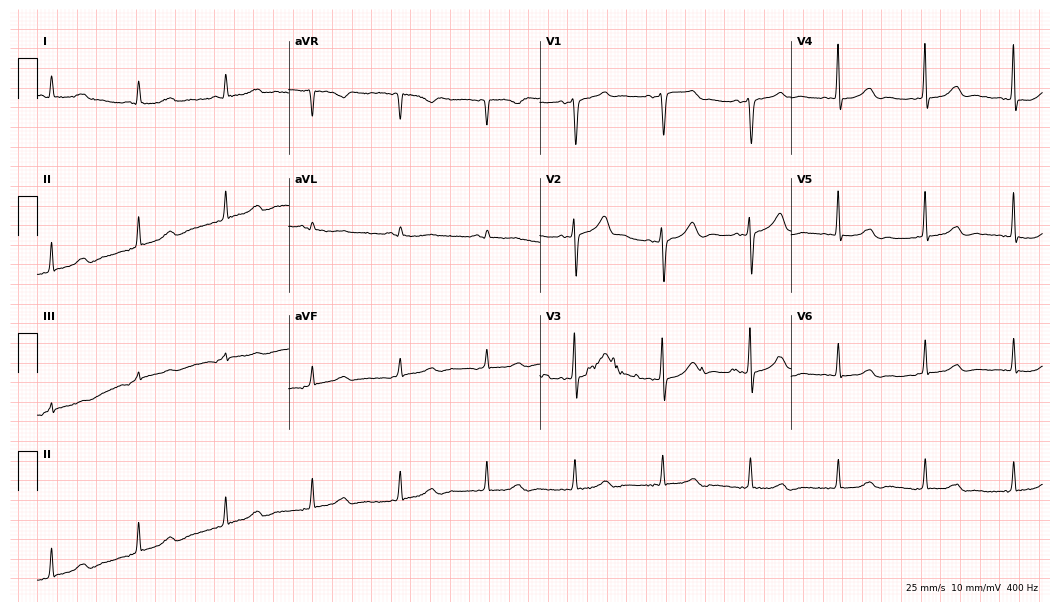
12-lead ECG from an 84-year-old male. Screened for six findings — first-degree AV block, right bundle branch block (RBBB), left bundle branch block (LBBB), sinus bradycardia, atrial fibrillation (AF), sinus tachycardia — none is recorded.